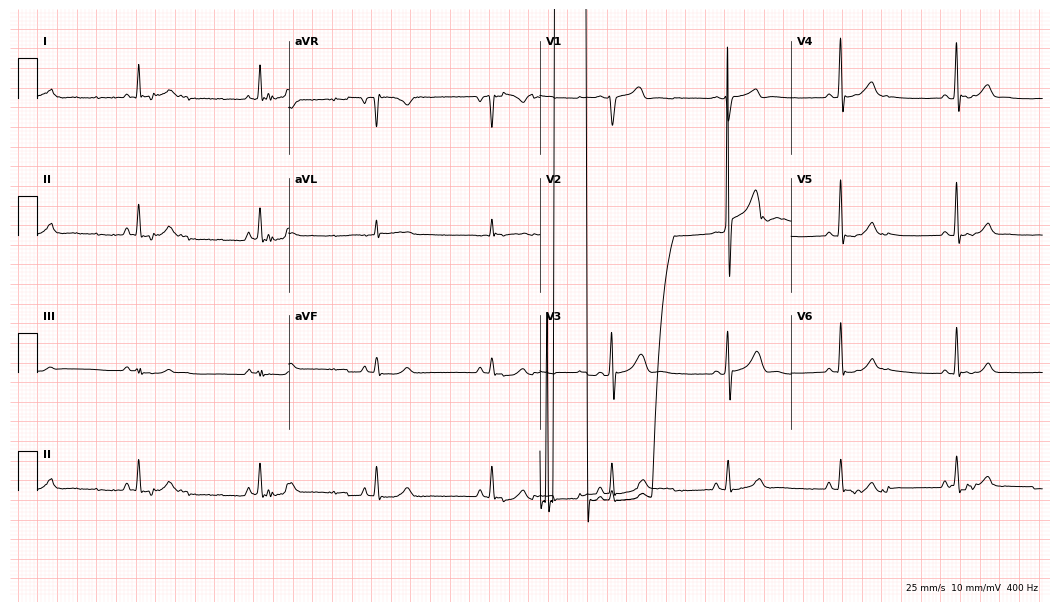
Standard 12-lead ECG recorded from a man, 52 years old (10.2-second recording at 400 Hz). None of these six findings is recorded: first-degree AV block, right bundle branch block, left bundle branch block, sinus bradycardia, atrial fibrillation, sinus tachycardia.